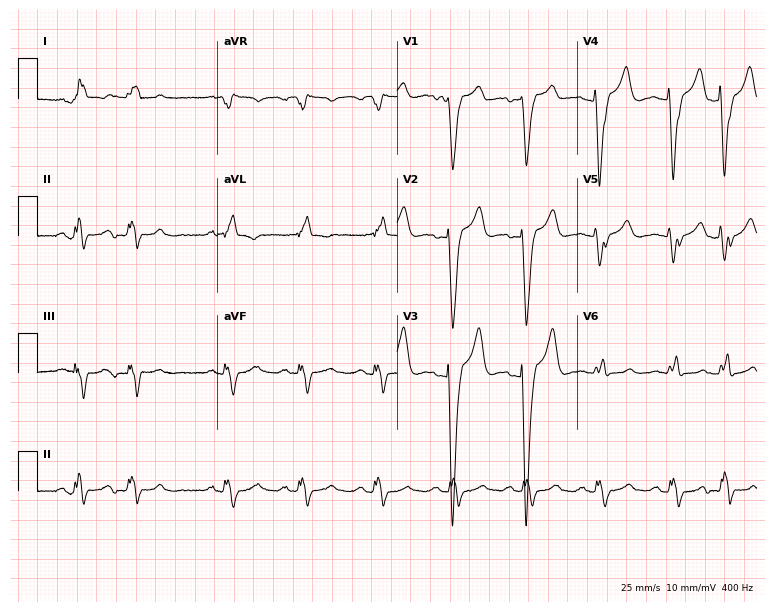
Electrocardiogram, a male, 56 years old. Interpretation includes left bundle branch block (LBBB).